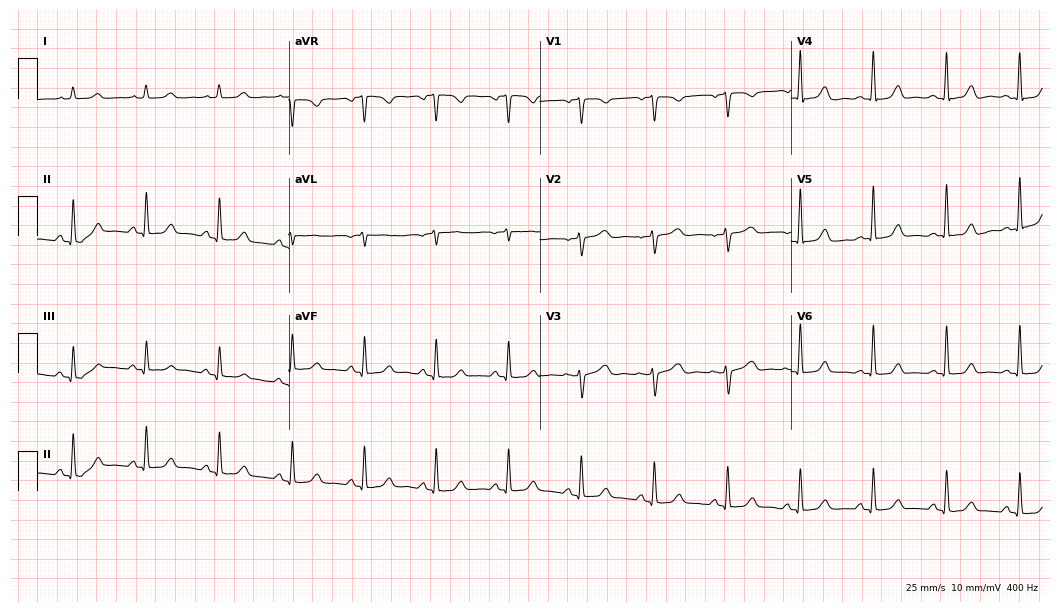
12-lead ECG (10.2-second recording at 400 Hz) from a female, 54 years old. Labelled as a normal ECG.